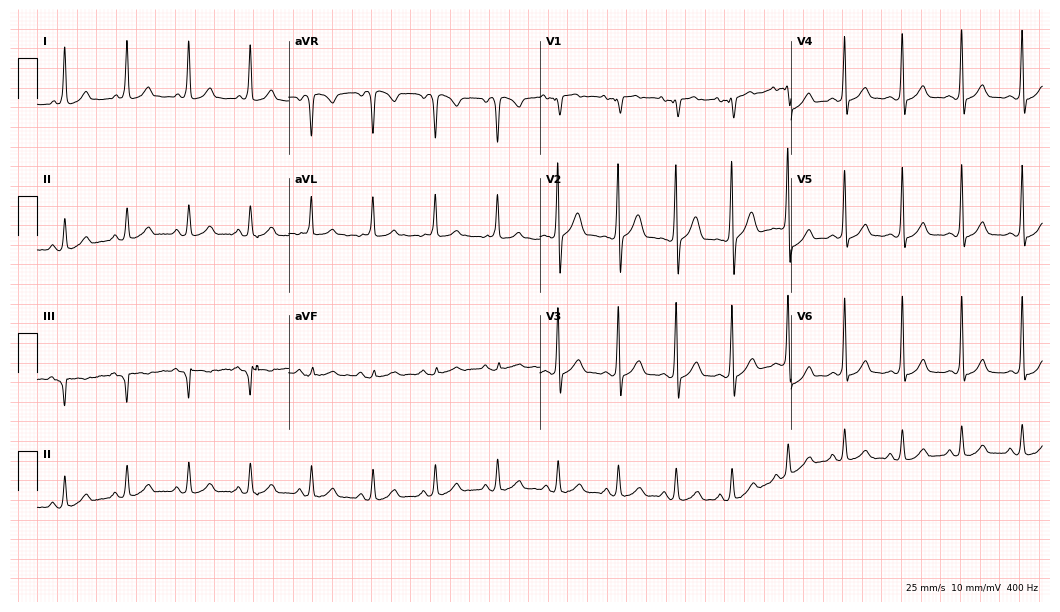
Electrocardiogram, a 23-year-old male. Overall reading on record: normal ECG.